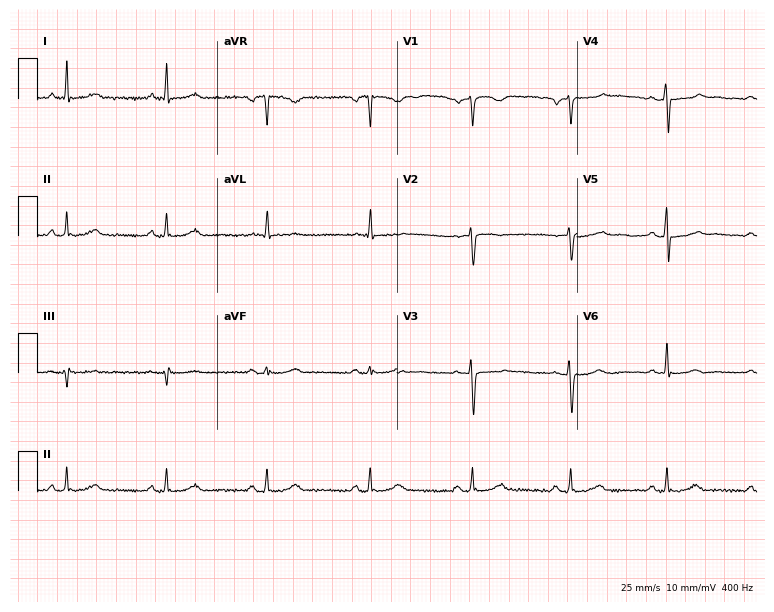
12-lead ECG from a woman, 46 years old. No first-degree AV block, right bundle branch block, left bundle branch block, sinus bradycardia, atrial fibrillation or sinus tachycardia recorded for this tracing.